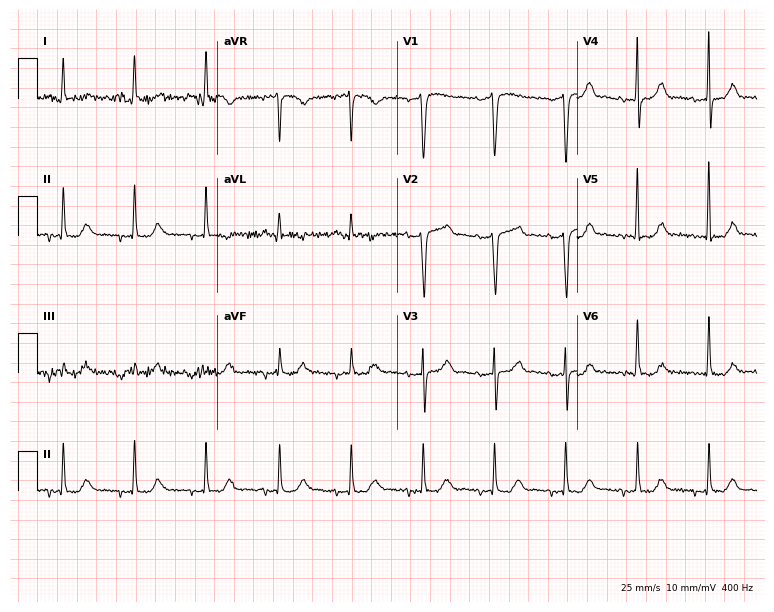
Standard 12-lead ECG recorded from a 73-year-old female patient. None of these six findings is recorded: first-degree AV block, right bundle branch block, left bundle branch block, sinus bradycardia, atrial fibrillation, sinus tachycardia. Only these six findings were labelled.